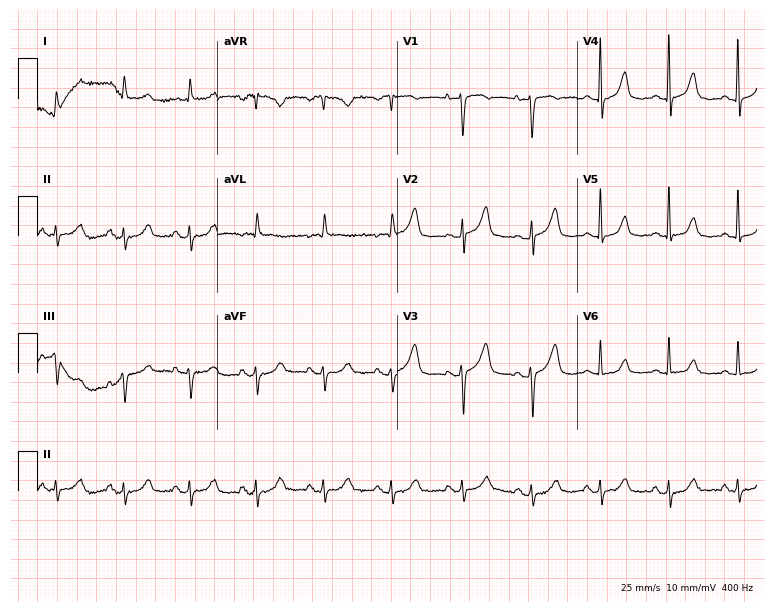
12-lead ECG from a woman, 78 years old (7.3-second recording at 400 Hz). No first-degree AV block, right bundle branch block, left bundle branch block, sinus bradycardia, atrial fibrillation or sinus tachycardia recorded for this tracing. Other findings, if any, are not listed.